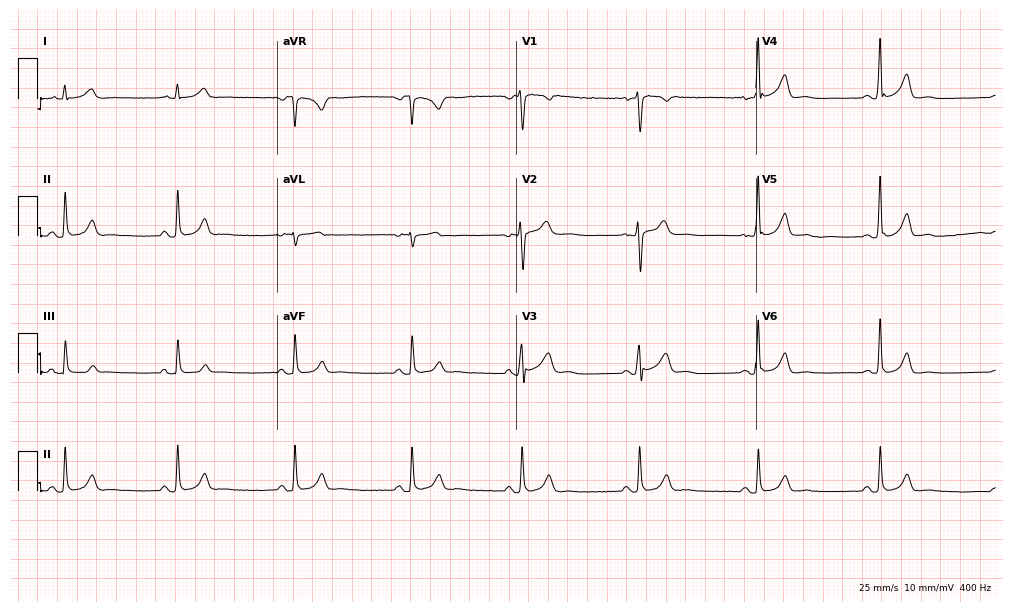
Resting 12-lead electrocardiogram. Patient: a male, 34 years old. The tracing shows sinus bradycardia (a sinus rate of 50 beats per minute or less).